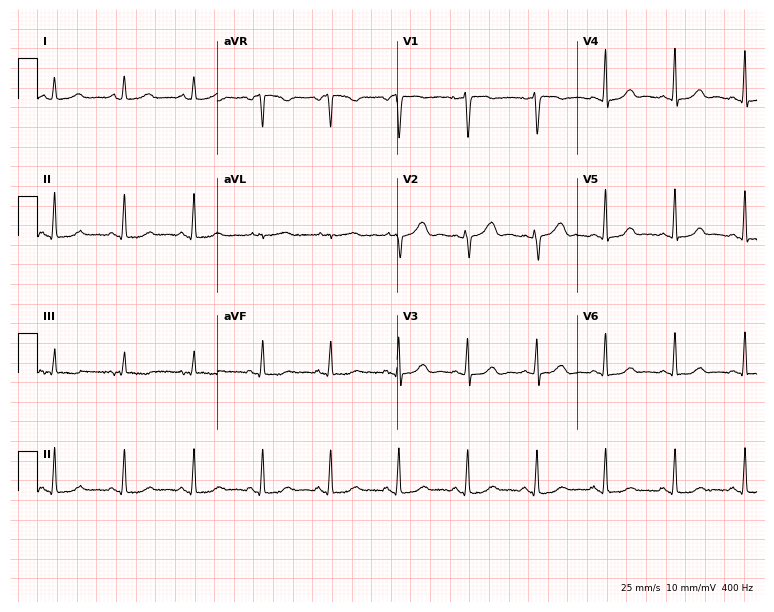
12-lead ECG from a 47-year-old female patient. Labelled as a normal ECG.